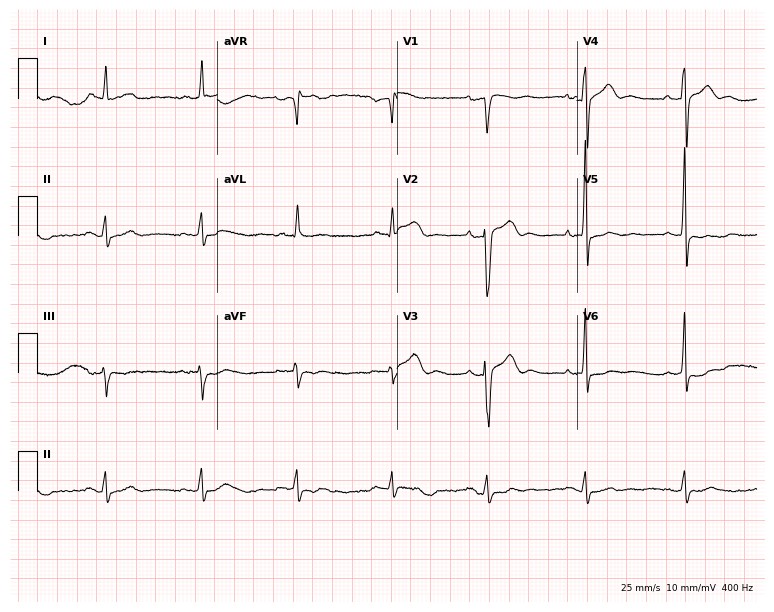
Electrocardiogram (7.3-second recording at 400 Hz), a male, 70 years old. Of the six screened findings (first-degree AV block, right bundle branch block, left bundle branch block, sinus bradycardia, atrial fibrillation, sinus tachycardia), none is recorded. Only these six findings were labelled.